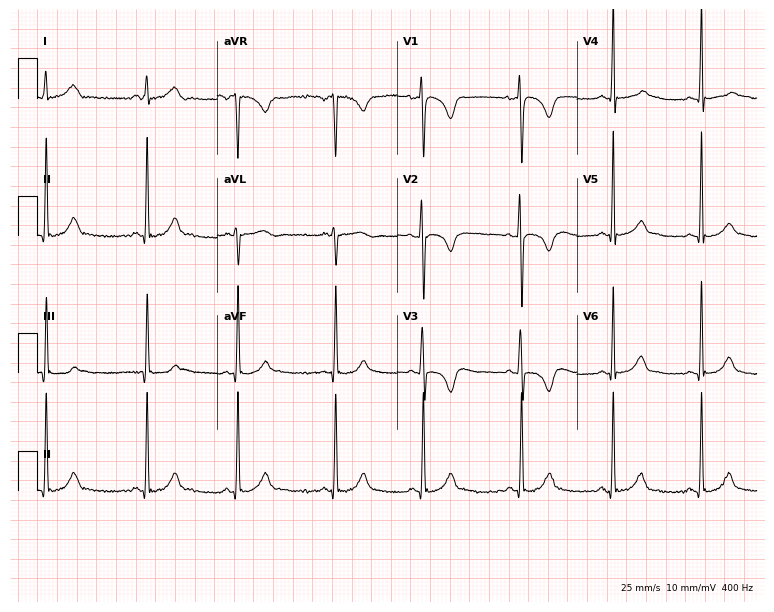
Standard 12-lead ECG recorded from an 18-year-old female. Read as a normal ECG.